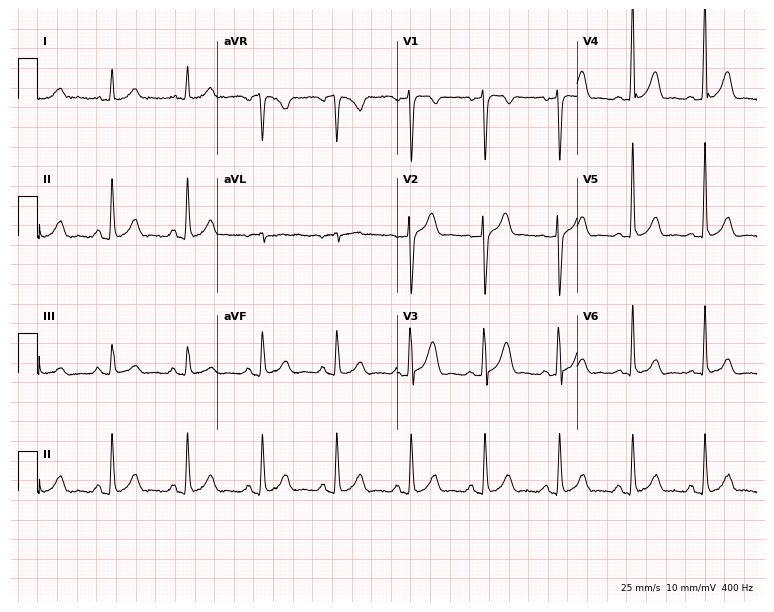
Standard 12-lead ECG recorded from a male, 44 years old (7.3-second recording at 400 Hz). Read as a normal ECG.